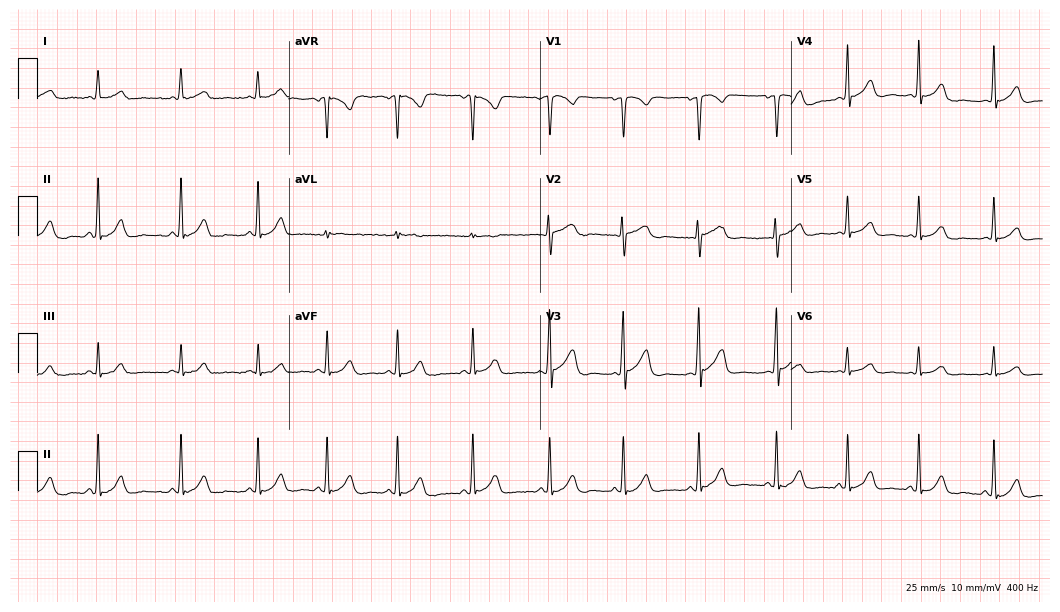
12-lead ECG from a 17-year-old woman. No first-degree AV block, right bundle branch block (RBBB), left bundle branch block (LBBB), sinus bradycardia, atrial fibrillation (AF) or sinus tachycardia recorded for this tracing.